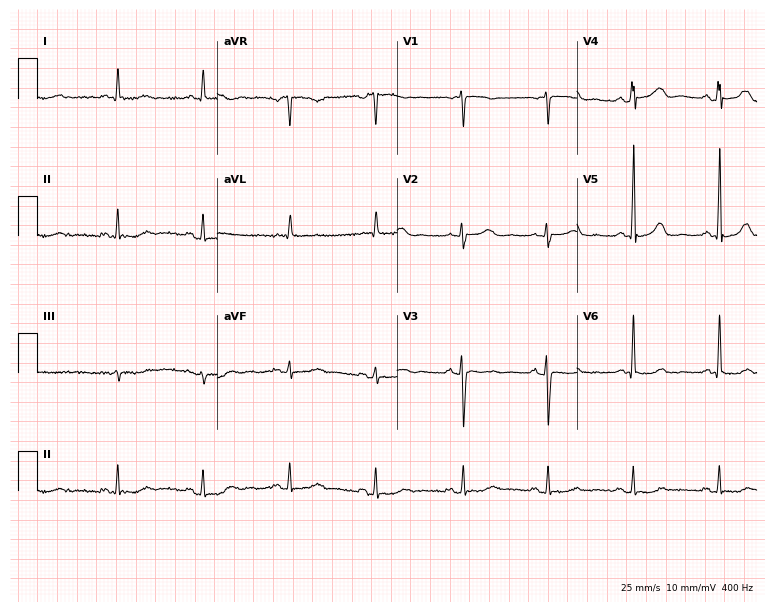
12-lead ECG from a female patient, 66 years old. Recorded interpretation: within normal limits.